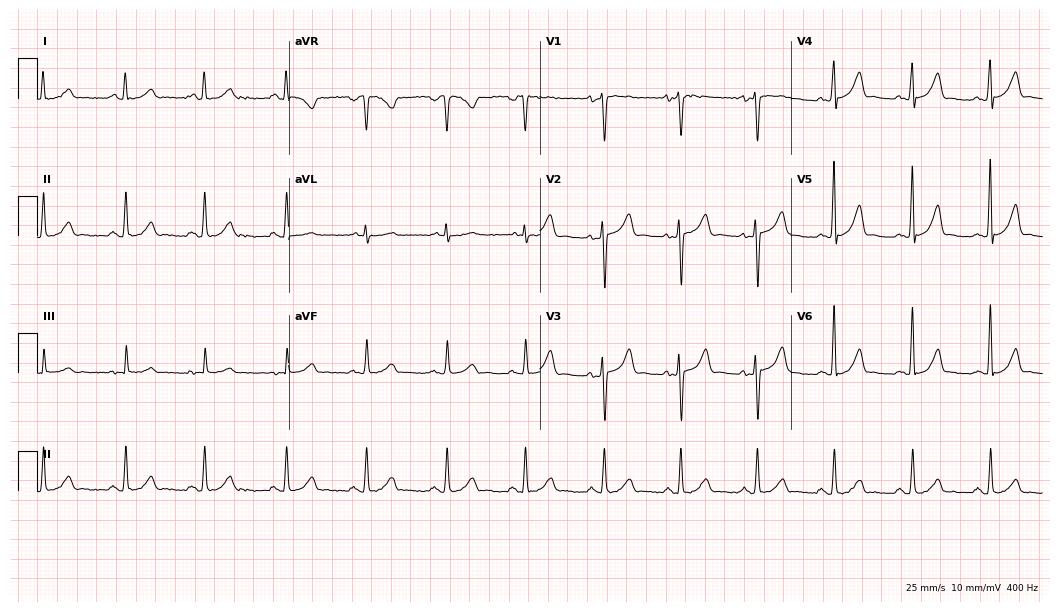
Resting 12-lead electrocardiogram. Patient: a 33-year-old female. Read as a normal ECG.